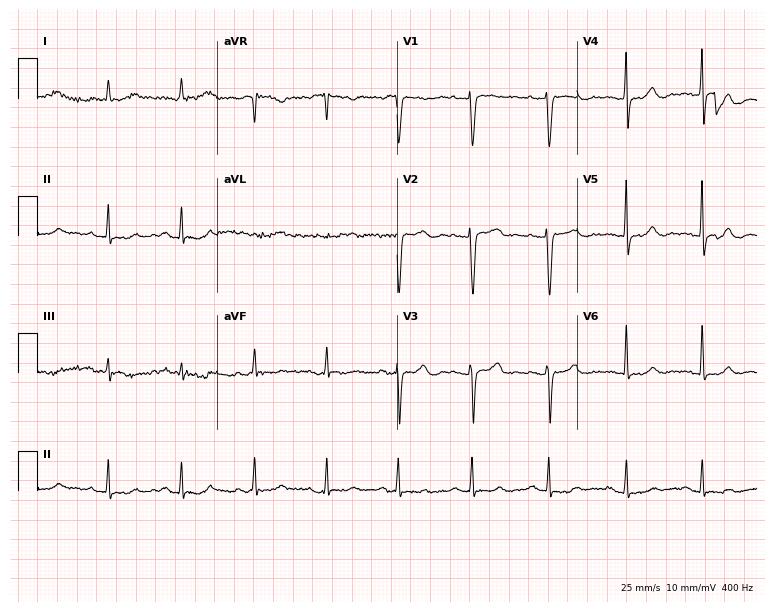
ECG — a 63-year-old female patient. Screened for six findings — first-degree AV block, right bundle branch block (RBBB), left bundle branch block (LBBB), sinus bradycardia, atrial fibrillation (AF), sinus tachycardia — none is recorded.